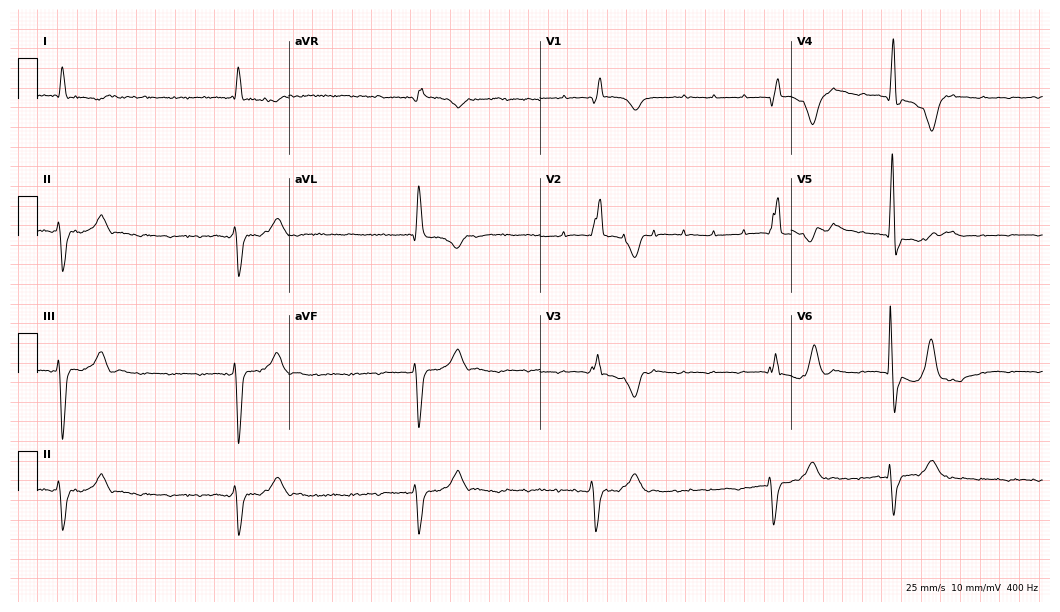
12-lead ECG from a female, 84 years old. Findings include first-degree AV block, right bundle branch block (RBBB), left bundle branch block (LBBB), sinus bradycardia (a sinus rate of 50 beats per minute or less).